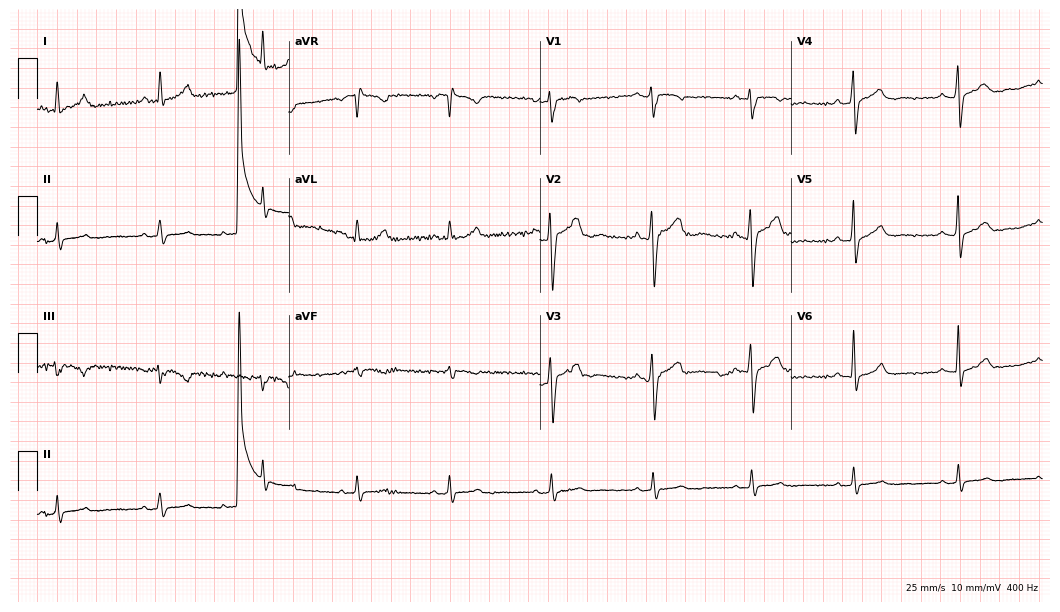
12-lead ECG from a 26-year-old male (10.2-second recording at 400 Hz). No first-degree AV block, right bundle branch block (RBBB), left bundle branch block (LBBB), sinus bradycardia, atrial fibrillation (AF) or sinus tachycardia recorded for this tracing.